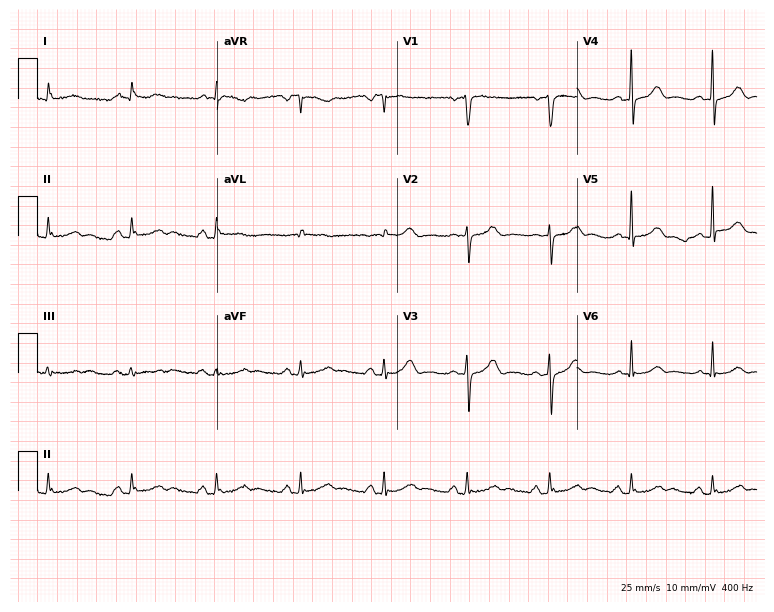
Standard 12-lead ECG recorded from a male, 78 years old. Read as a normal ECG.